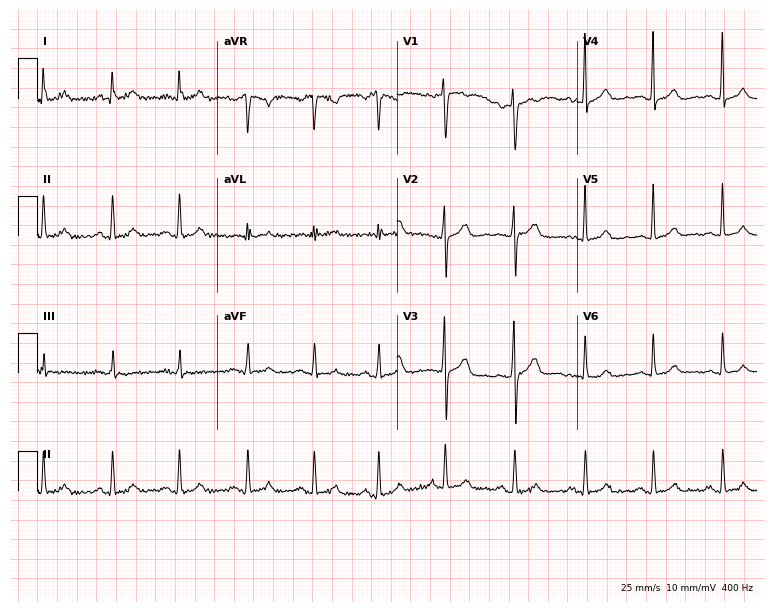
Resting 12-lead electrocardiogram. Patient: a female, 32 years old. Read as a normal ECG.